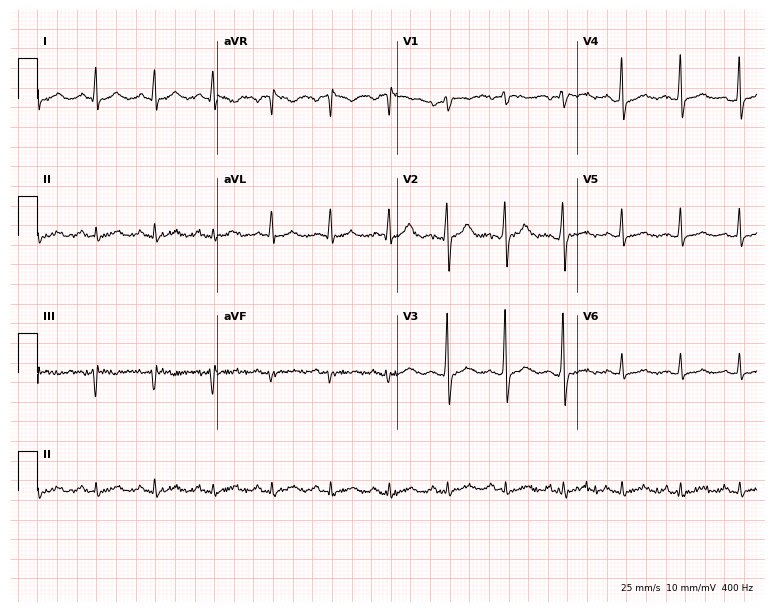
ECG — a 32-year-old male patient. Findings include sinus tachycardia (a sinus rate of 100 beats per minute or more).